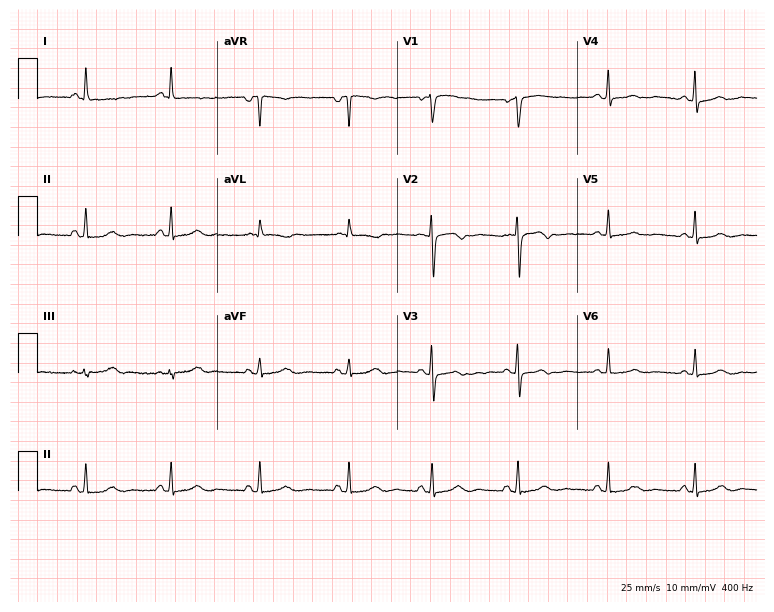
12-lead ECG from a female patient, 43 years old (7.3-second recording at 400 Hz). No first-degree AV block, right bundle branch block (RBBB), left bundle branch block (LBBB), sinus bradycardia, atrial fibrillation (AF) or sinus tachycardia recorded for this tracing.